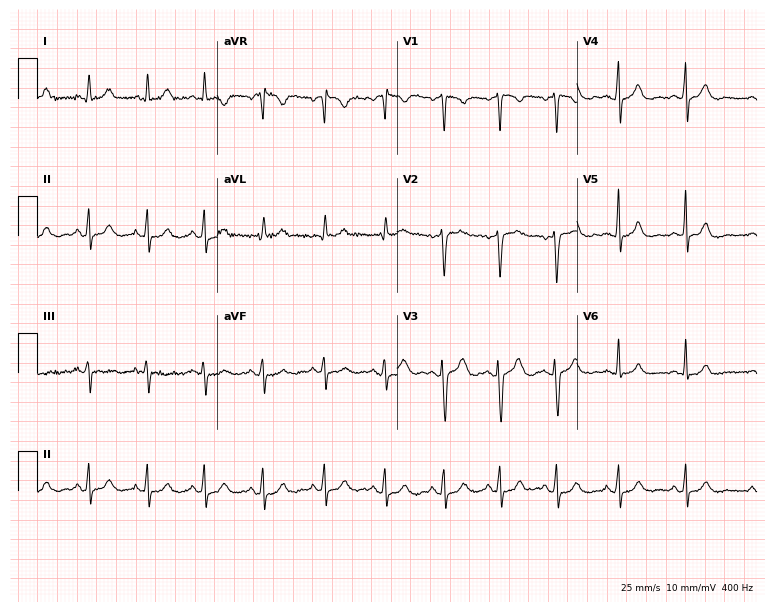
ECG (7.3-second recording at 400 Hz) — a female patient, 33 years old. Labelled as a normal ECG.